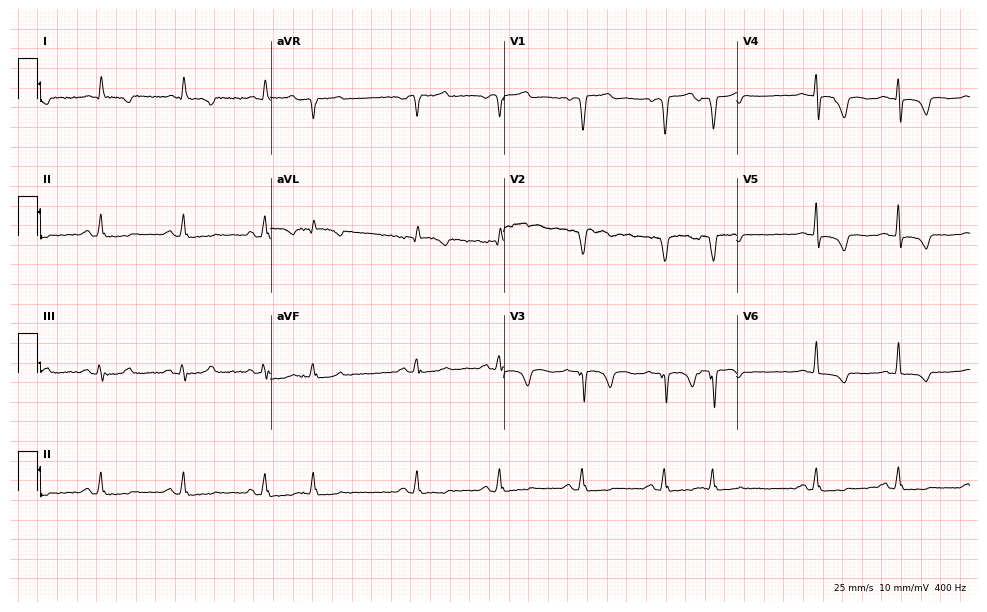
Standard 12-lead ECG recorded from a 77-year-old male. None of these six findings is recorded: first-degree AV block, right bundle branch block, left bundle branch block, sinus bradycardia, atrial fibrillation, sinus tachycardia.